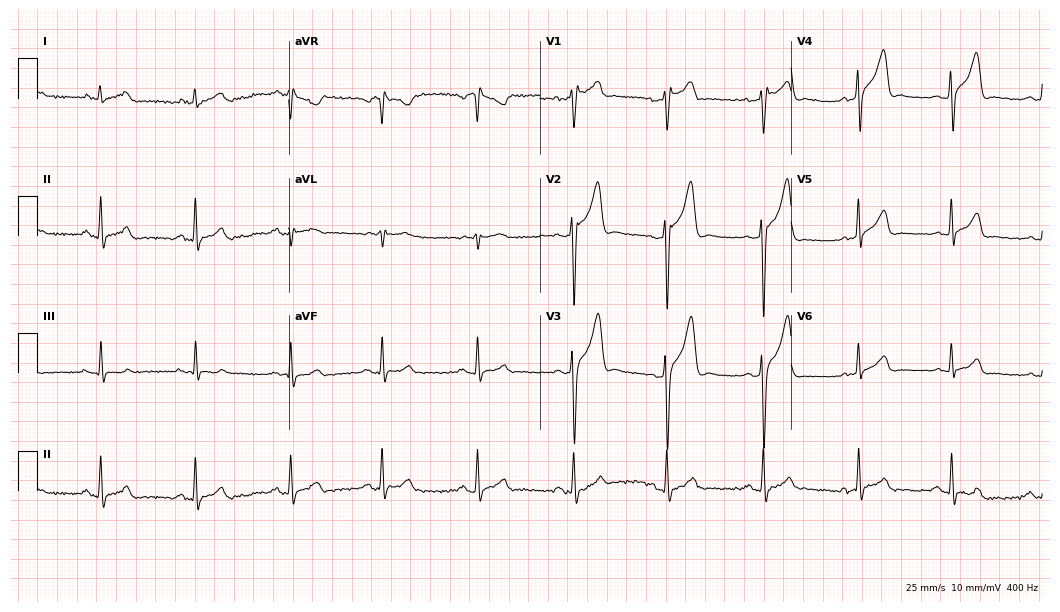
12-lead ECG from a male patient, 34 years old (10.2-second recording at 400 Hz). No first-degree AV block, right bundle branch block, left bundle branch block, sinus bradycardia, atrial fibrillation or sinus tachycardia recorded for this tracing. Other findings, if any, are not listed.